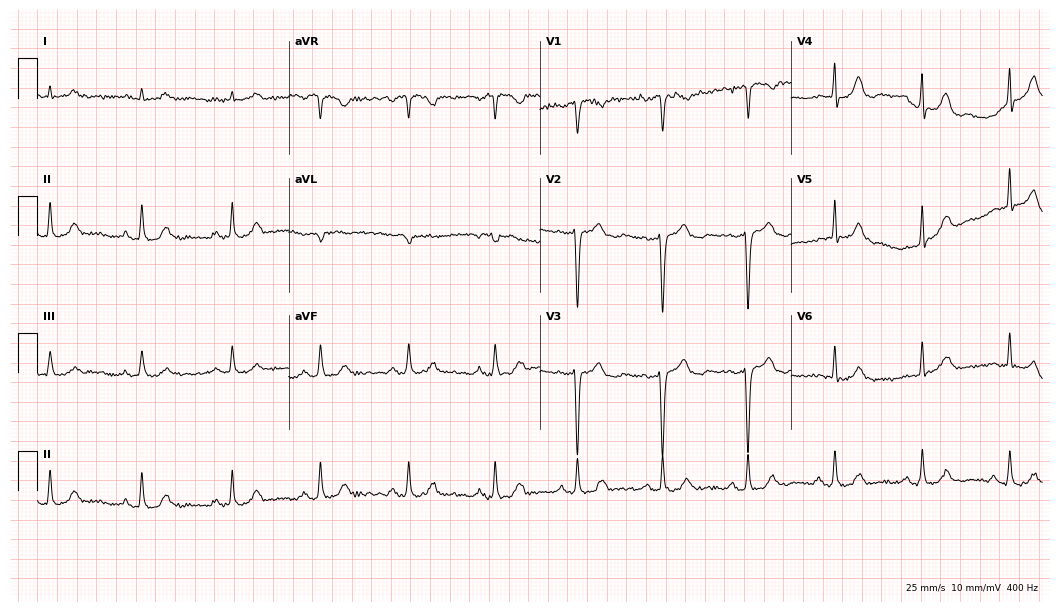
Resting 12-lead electrocardiogram (10.2-second recording at 400 Hz). Patient: a man, 64 years old. None of these six findings is recorded: first-degree AV block, right bundle branch block, left bundle branch block, sinus bradycardia, atrial fibrillation, sinus tachycardia. Other findings, if any, are not listed.